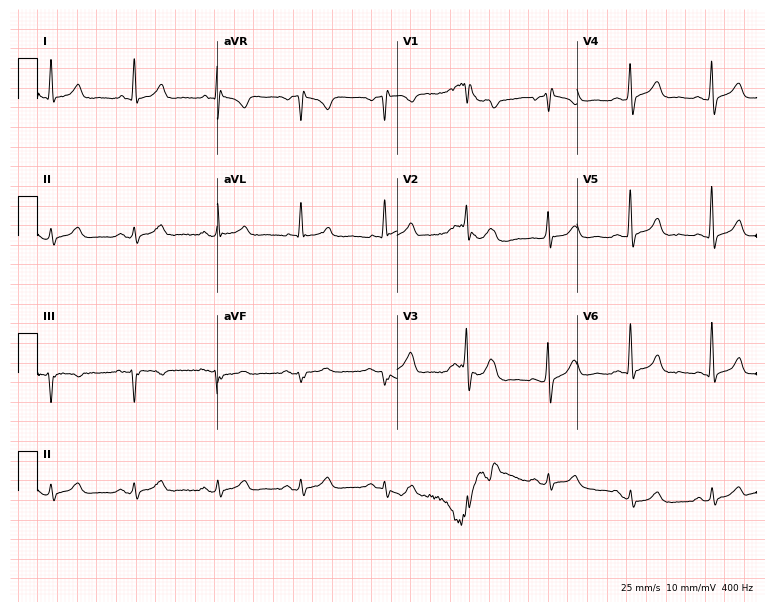
Resting 12-lead electrocardiogram. Patient: an 81-year-old male. None of these six findings is recorded: first-degree AV block, right bundle branch block, left bundle branch block, sinus bradycardia, atrial fibrillation, sinus tachycardia. Findings outside these six are not listed.